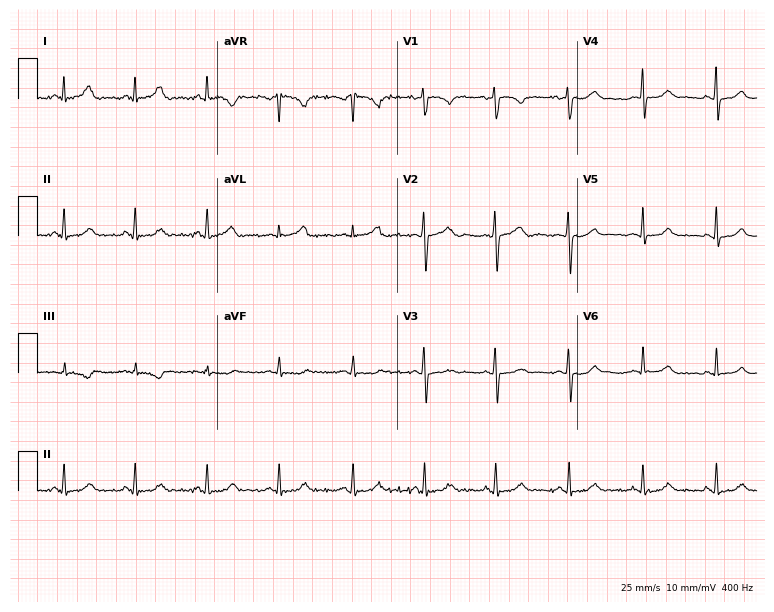
Electrocardiogram (7.3-second recording at 400 Hz), a female patient, 31 years old. Overall reading on record: normal ECG.